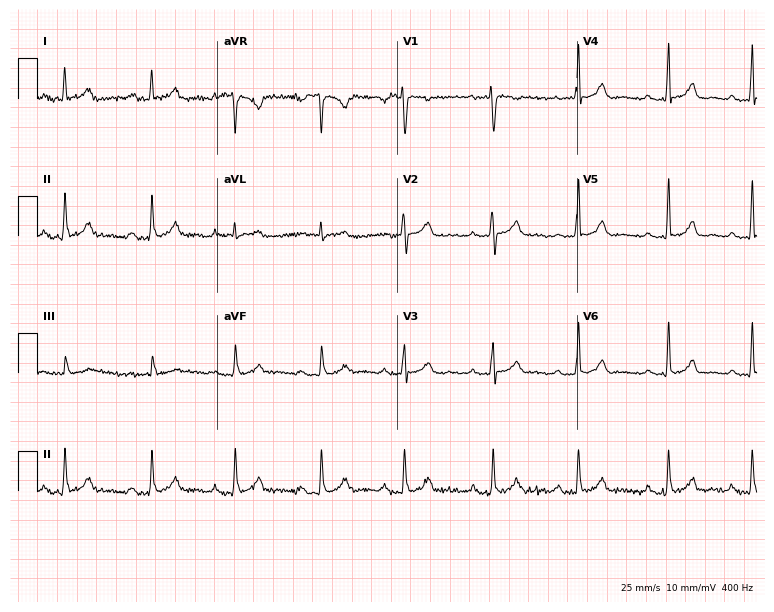
12-lead ECG from a female, 29 years old (7.3-second recording at 400 Hz). Recorded interpretation: within normal limits.